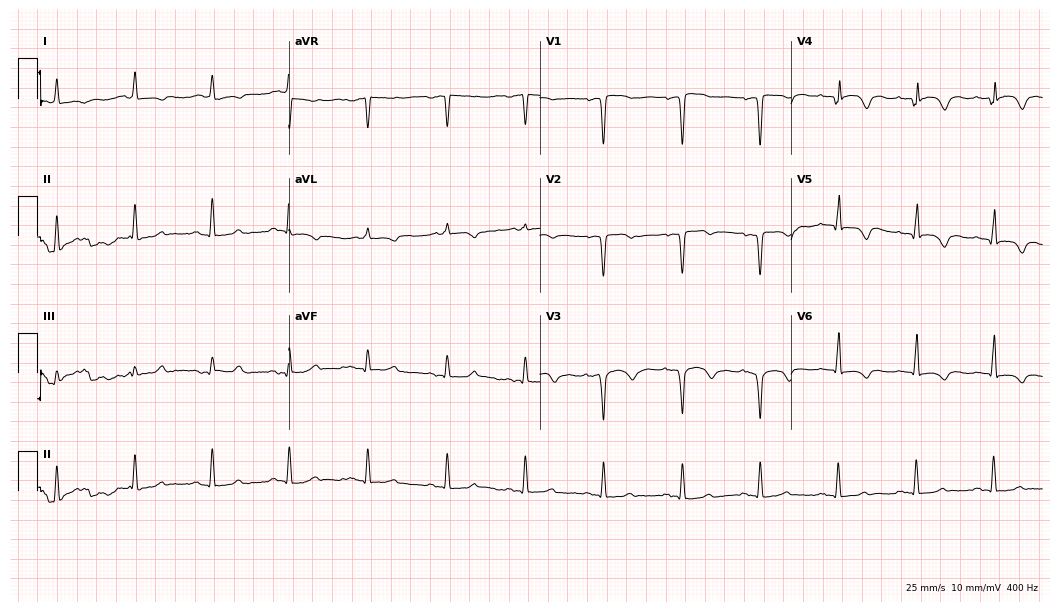
ECG (10.2-second recording at 400 Hz) — a 77-year-old woman. Screened for six findings — first-degree AV block, right bundle branch block, left bundle branch block, sinus bradycardia, atrial fibrillation, sinus tachycardia — none is recorded.